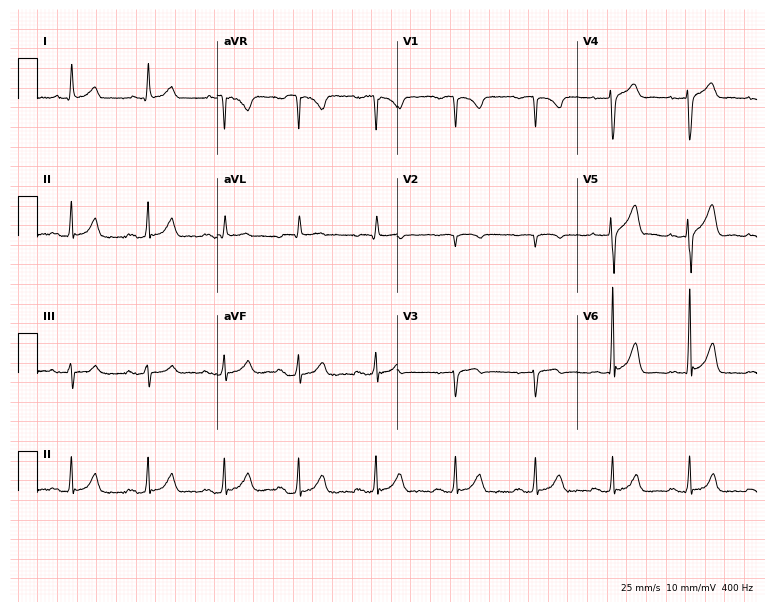
12-lead ECG from a male, 53 years old. Screened for six findings — first-degree AV block, right bundle branch block (RBBB), left bundle branch block (LBBB), sinus bradycardia, atrial fibrillation (AF), sinus tachycardia — none is recorded. Other findings, if any, are not listed.